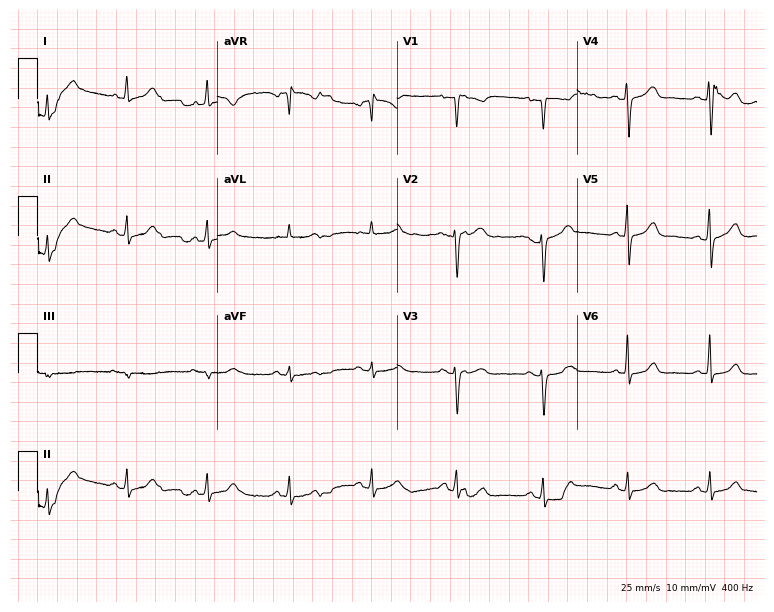
Electrocardiogram, a woman, 36 years old. Overall reading on record: normal ECG.